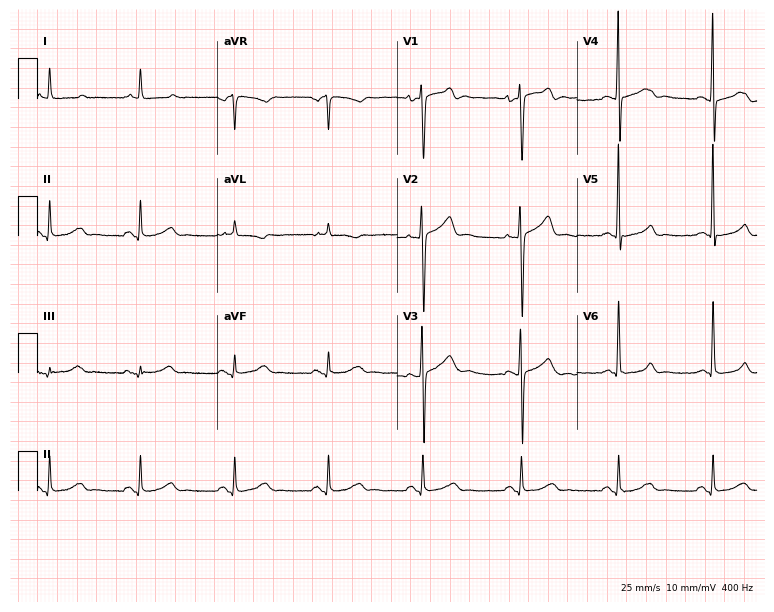
ECG (7.3-second recording at 400 Hz) — a 61-year-old male patient. Screened for six findings — first-degree AV block, right bundle branch block (RBBB), left bundle branch block (LBBB), sinus bradycardia, atrial fibrillation (AF), sinus tachycardia — none is recorded. Findings outside these six are not listed.